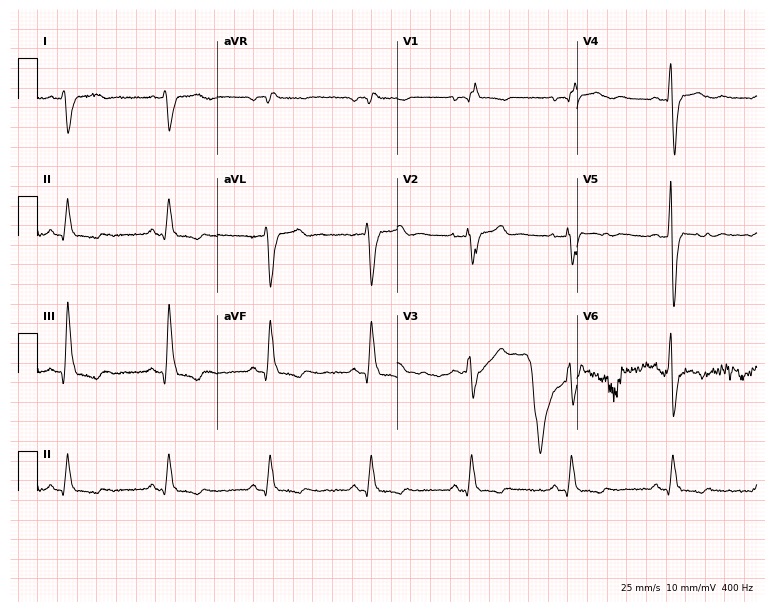
Standard 12-lead ECG recorded from a male patient, 39 years old. The tracing shows right bundle branch block (RBBB).